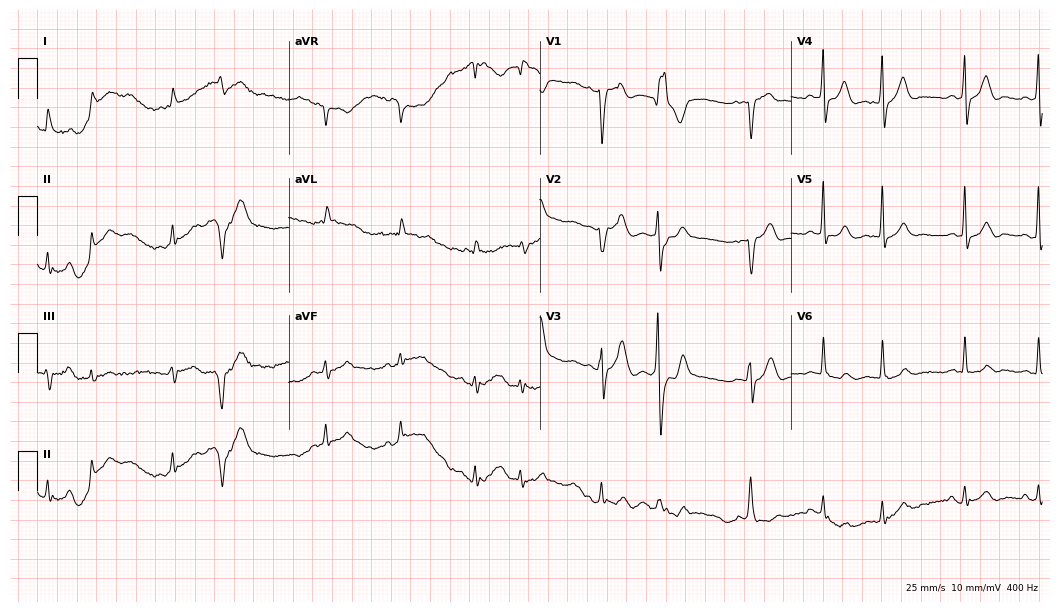
12-lead ECG from a 75-year-old male patient. No first-degree AV block, right bundle branch block, left bundle branch block, sinus bradycardia, atrial fibrillation or sinus tachycardia recorded for this tracing.